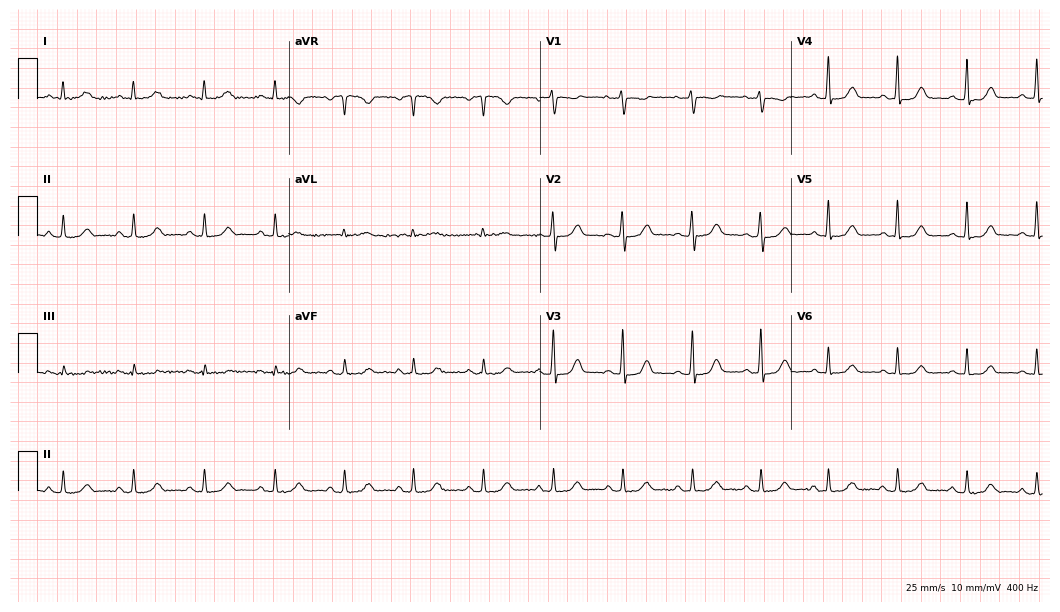
Resting 12-lead electrocardiogram (10.2-second recording at 400 Hz). Patient: a 47-year-old female. Read as a normal ECG.